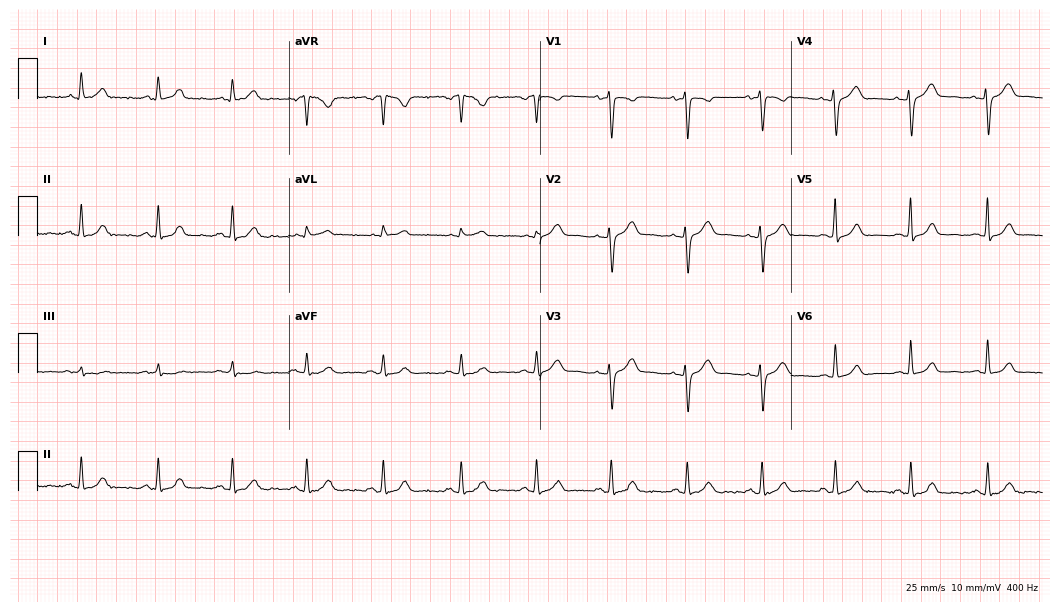
ECG — a female patient, 38 years old. Labelled as a normal ECG.